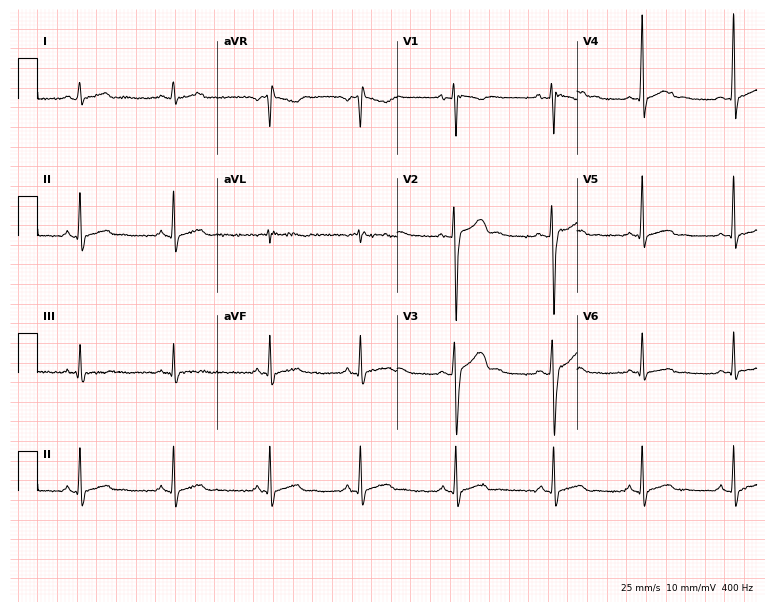
ECG — a 20-year-old male. Labelled as a normal ECG.